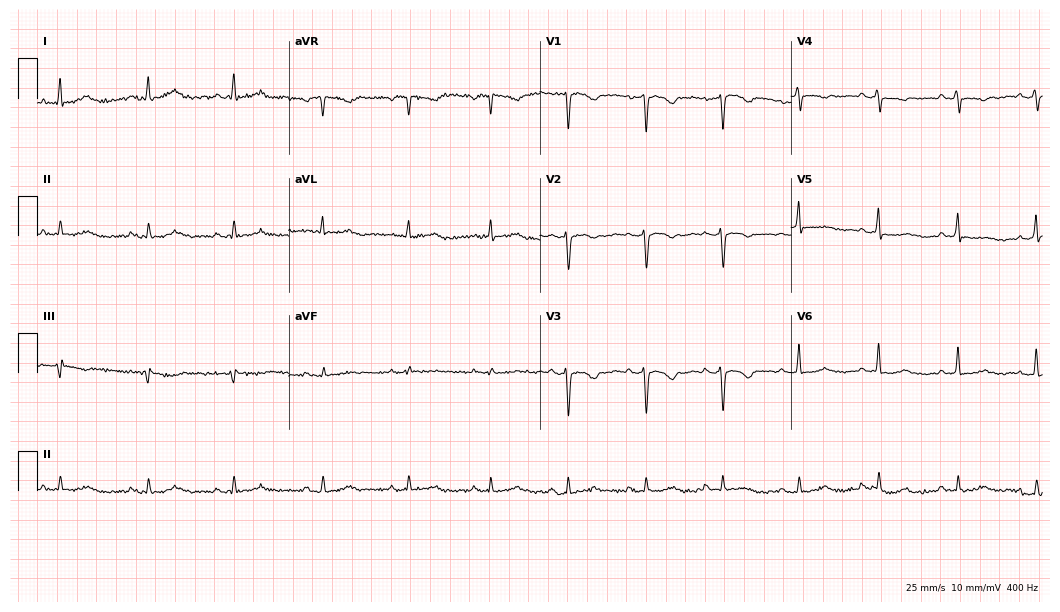
Resting 12-lead electrocardiogram (10.2-second recording at 400 Hz). Patient: a female, 46 years old. None of these six findings is recorded: first-degree AV block, right bundle branch block (RBBB), left bundle branch block (LBBB), sinus bradycardia, atrial fibrillation (AF), sinus tachycardia.